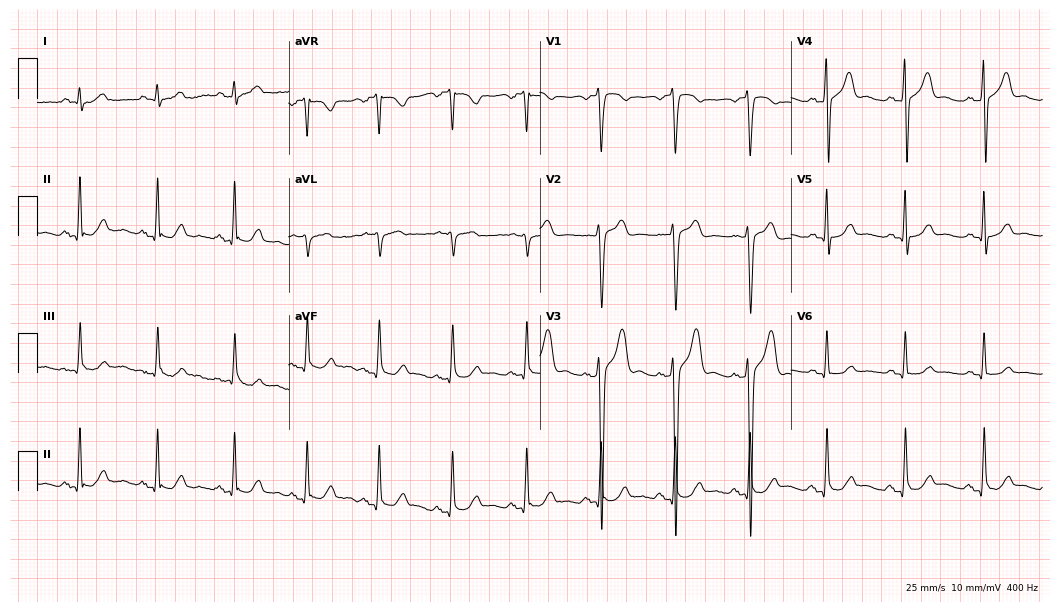
Resting 12-lead electrocardiogram (10.2-second recording at 400 Hz). Patient: a 30-year-old male. Read as a normal ECG.